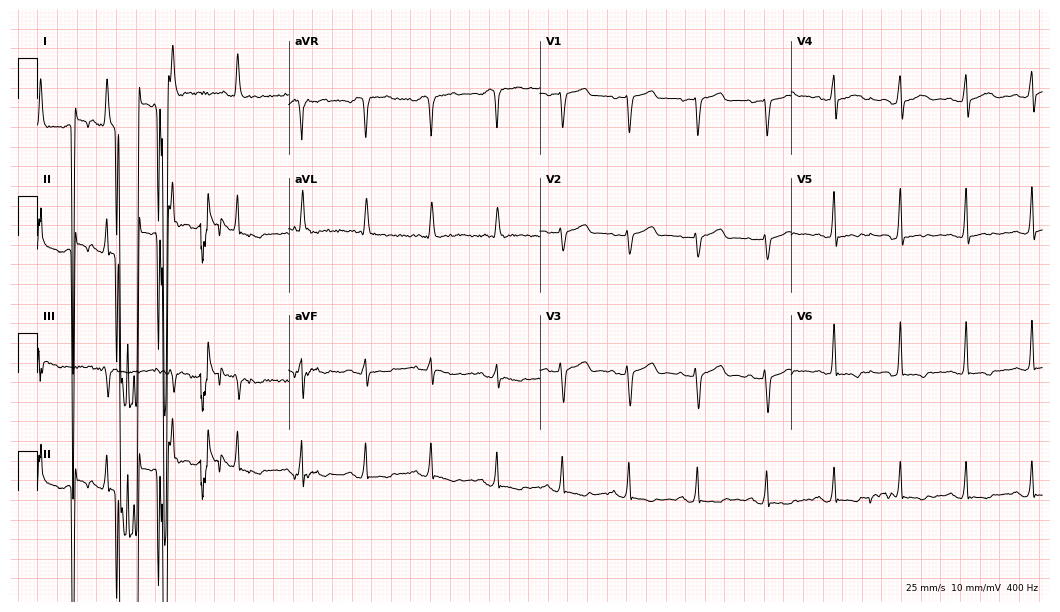
Standard 12-lead ECG recorded from a woman, 61 years old. None of these six findings is recorded: first-degree AV block, right bundle branch block, left bundle branch block, sinus bradycardia, atrial fibrillation, sinus tachycardia.